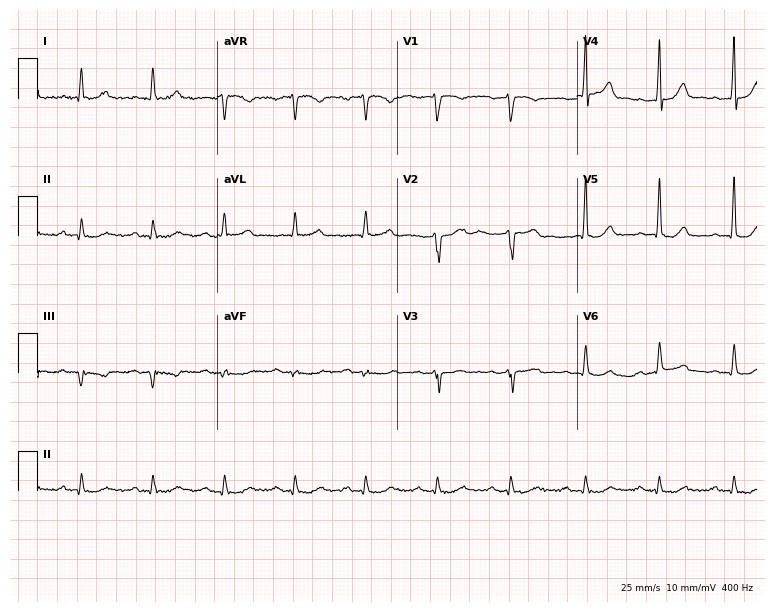
ECG (7.3-second recording at 400 Hz) — a male patient, 56 years old. Labelled as a normal ECG.